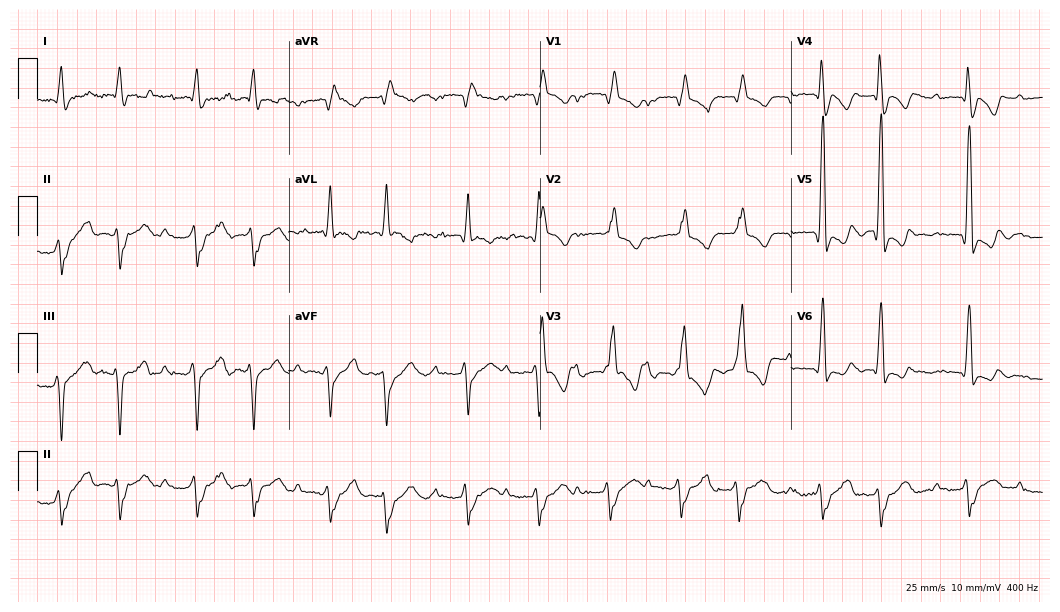
Standard 12-lead ECG recorded from an 82-year-old male patient. The tracing shows first-degree AV block, right bundle branch block.